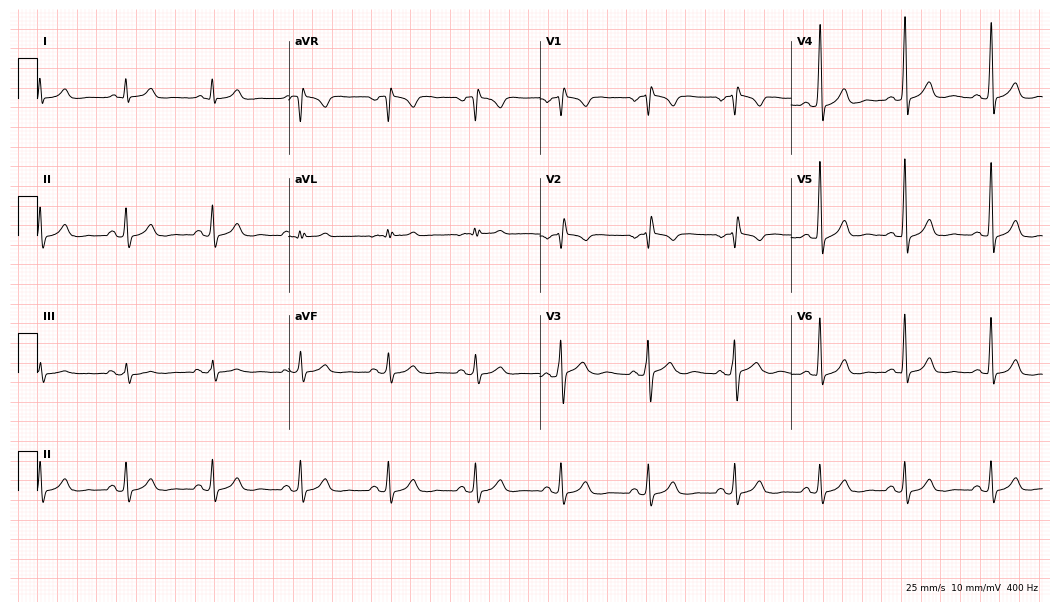
Resting 12-lead electrocardiogram. Patient: a man, 54 years old. Read as a normal ECG.